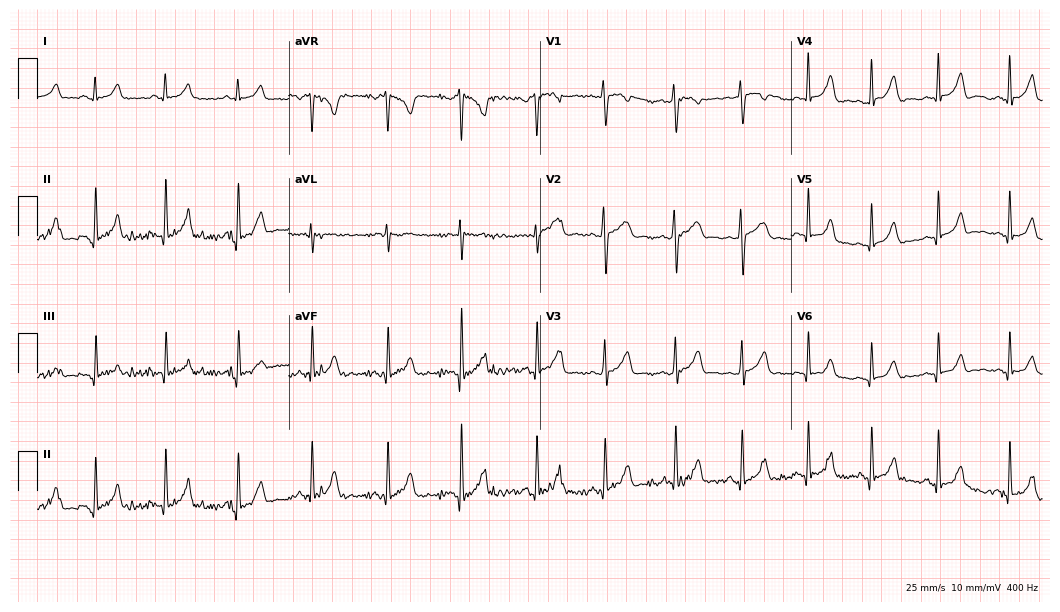
12-lead ECG from a female, 22 years old. Labelled as a normal ECG.